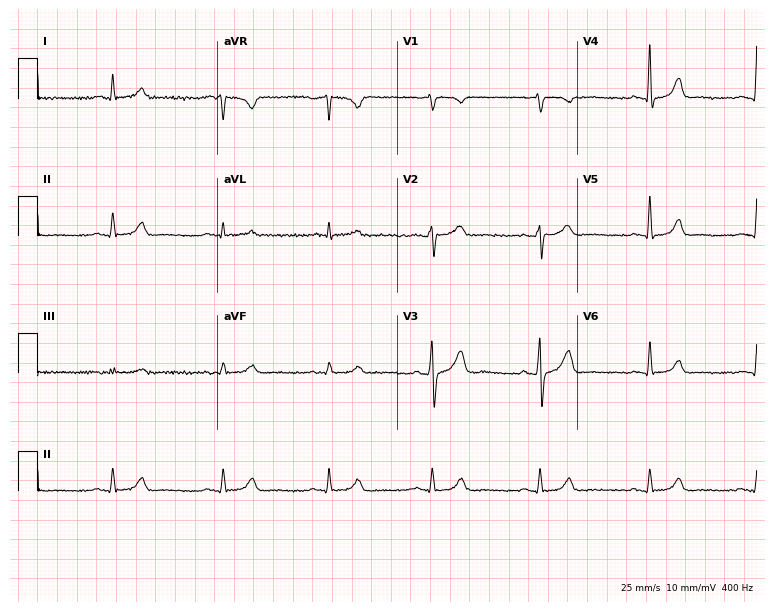
Standard 12-lead ECG recorded from a 69-year-old male patient (7.3-second recording at 400 Hz). None of these six findings is recorded: first-degree AV block, right bundle branch block (RBBB), left bundle branch block (LBBB), sinus bradycardia, atrial fibrillation (AF), sinus tachycardia. Other findings, if any, are not listed.